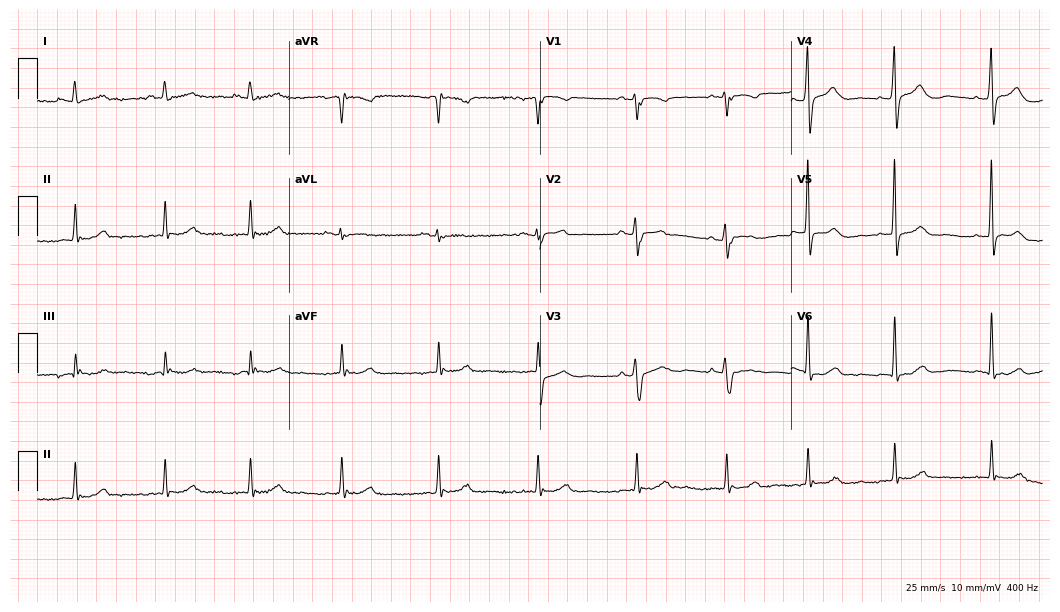
12-lead ECG from a 37-year-old woman (10.2-second recording at 400 Hz). No first-degree AV block, right bundle branch block (RBBB), left bundle branch block (LBBB), sinus bradycardia, atrial fibrillation (AF) or sinus tachycardia recorded for this tracing.